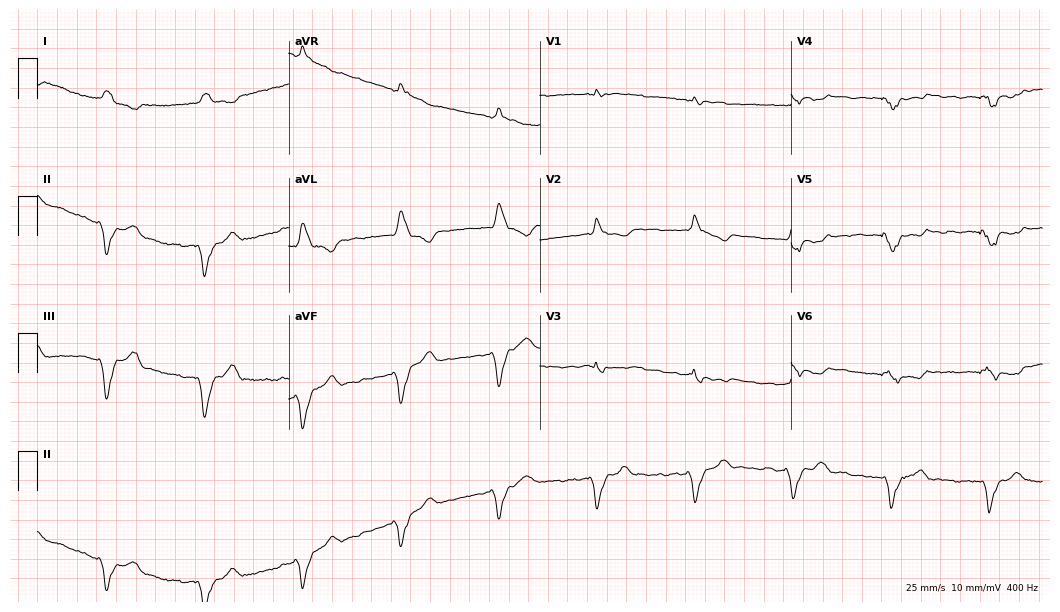
Resting 12-lead electrocardiogram (10.2-second recording at 400 Hz). Patient: a man, 82 years old. None of these six findings is recorded: first-degree AV block, right bundle branch block, left bundle branch block, sinus bradycardia, atrial fibrillation, sinus tachycardia.